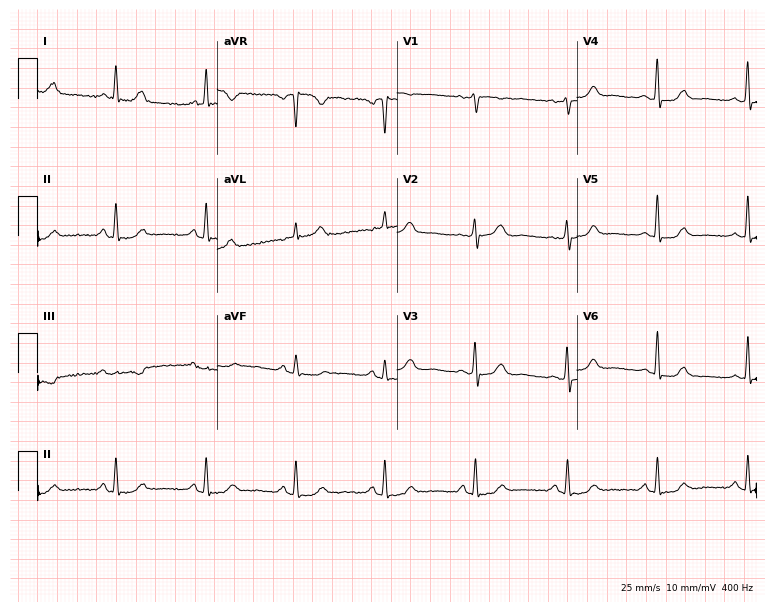
12-lead ECG from a woman, 52 years old (7.3-second recording at 400 Hz). No first-degree AV block, right bundle branch block, left bundle branch block, sinus bradycardia, atrial fibrillation or sinus tachycardia recorded for this tracing. Only these six findings were labelled.